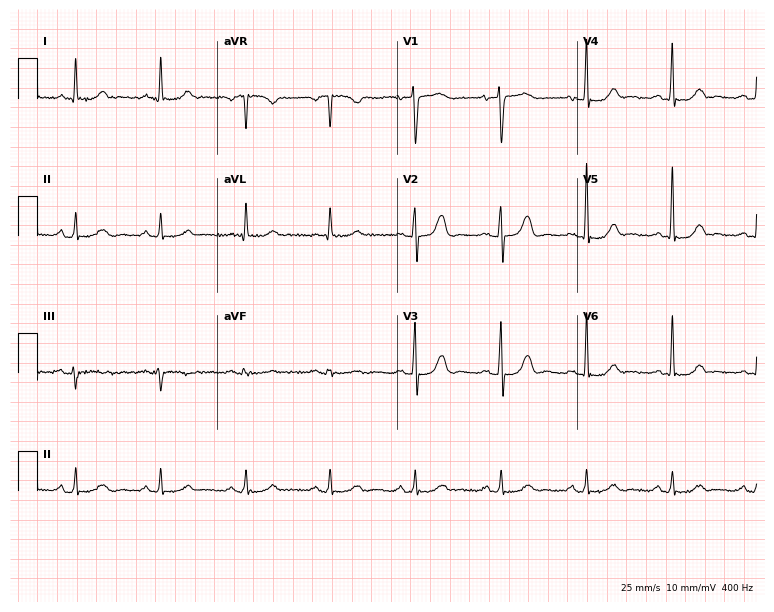
12-lead ECG (7.3-second recording at 400 Hz) from a female patient, 69 years old. Labelled as a normal ECG.